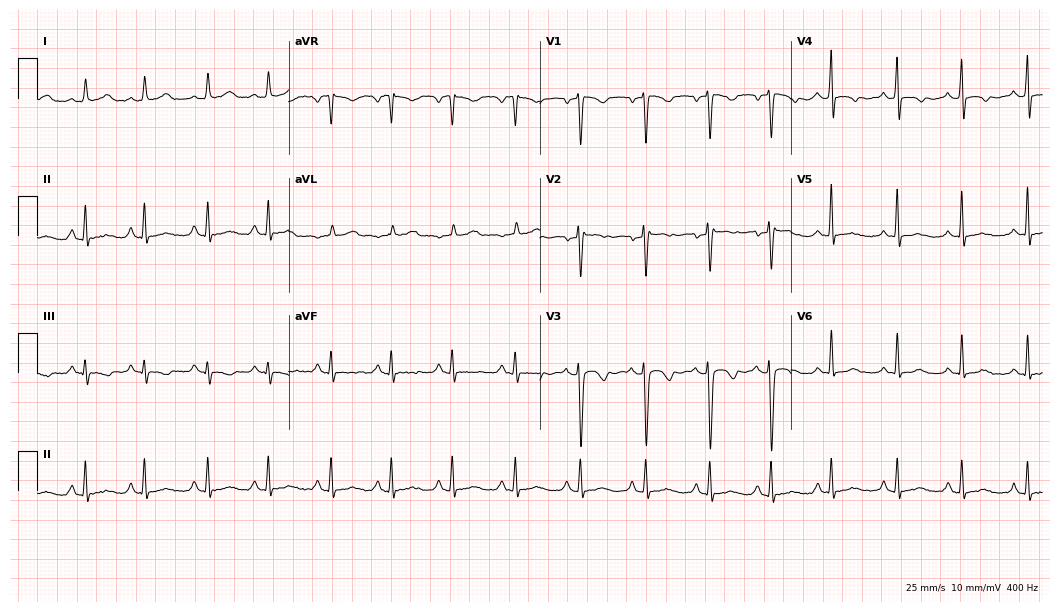
Electrocardiogram, a female patient, 46 years old. Of the six screened findings (first-degree AV block, right bundle branch block (RBBB), left bundle branch block (LBBB), sinus bradycardia, atrial fibrillation (AF), sinus tachycardia), none is recorded. Findings outside these six are not listed.